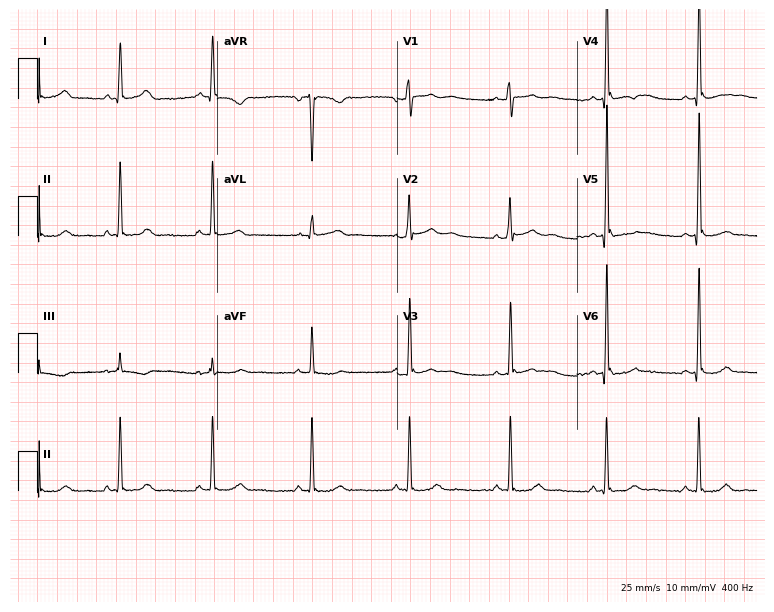
12-lead ECG (7.3-second recording at 400 Hz) from a female patient, 25 years old. Screened for six findings — first-degree AV block, right bundle branch block, left bundle branch block, sinus bradycardia, atrial fibrillation, sinus tachycardia — none is recorded.